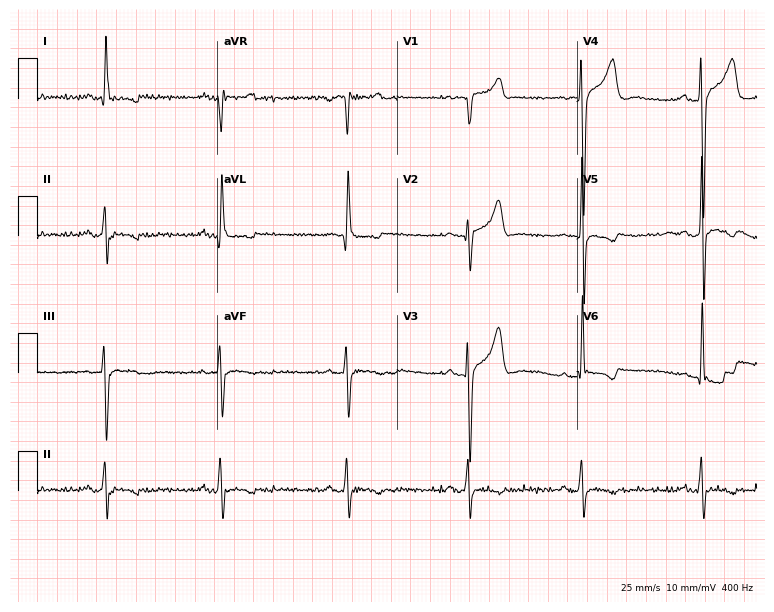
ECG — a 28-year-old male. Screened for six findings — first-degree AV block, right bundle branch block (RBBB), left bundle branch block (LBBB), sinus bradycardia, atrial fibrillation (AF), sinus tachycardia — none is recorded.